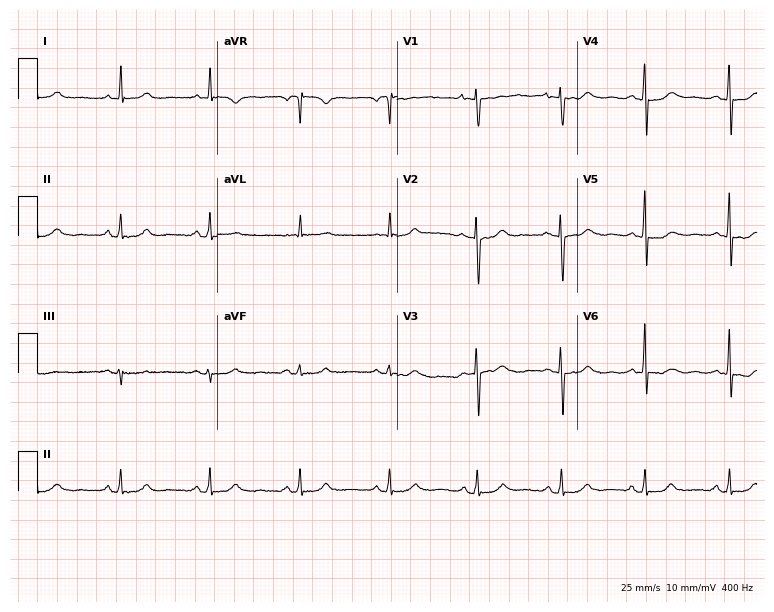
Standard 12-lead ECG recorded from a 60-year-old female (7.3-second recording at 400 Hz). None of these six findings is recorded: first-degree AV block, right bundle branch block (RBBB), left bundle branch block (LBBB), sinus bradycardia, atrial fibrillation (AF), sinus tachycardia.